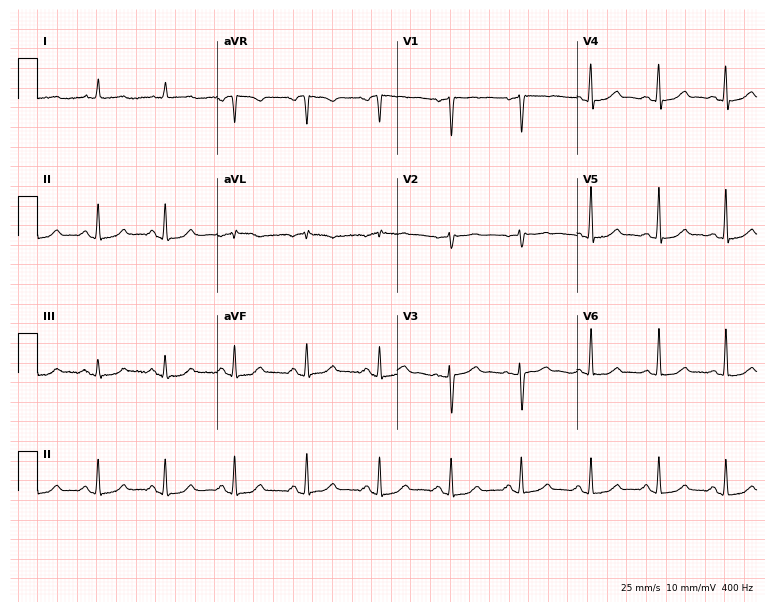
Electrocardiogram, a 55-year-old female. Of the six screened findings (first-degree AV block, right bundle branch block, left bundle branch block, sinus bradycardia, atrial fibrillation, sinus tachycardia), none is recorded.